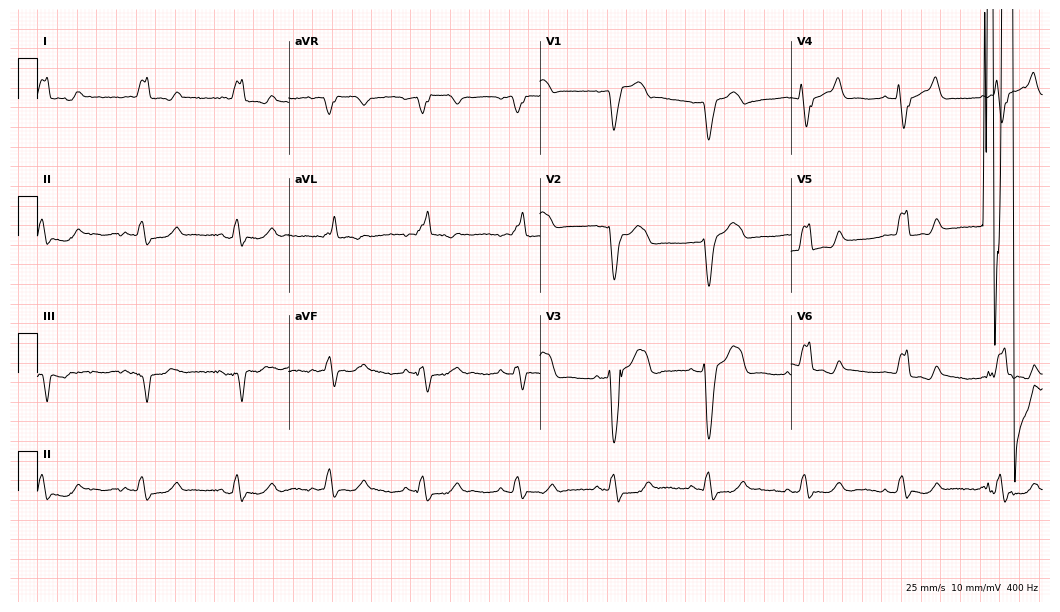
Resting 12-lead electrocardiogram (10.2-second recording at 400 Hz). Patient: an 85-year-old male. The tracing shows left bundle branch block (LBBB).